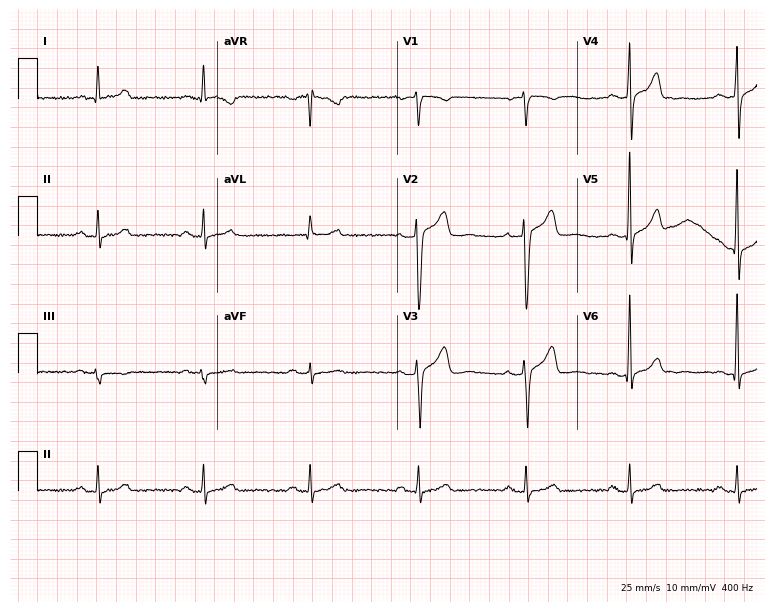
12-lead ECG from a male, 53 years old. Screened for six findings — first-degree AV block, right bundle branch block, left bundle branch block, sinus bradycardia, atrial fibrillation, sinus tachycardia — none is recorded. Findings outside these six are not listed.